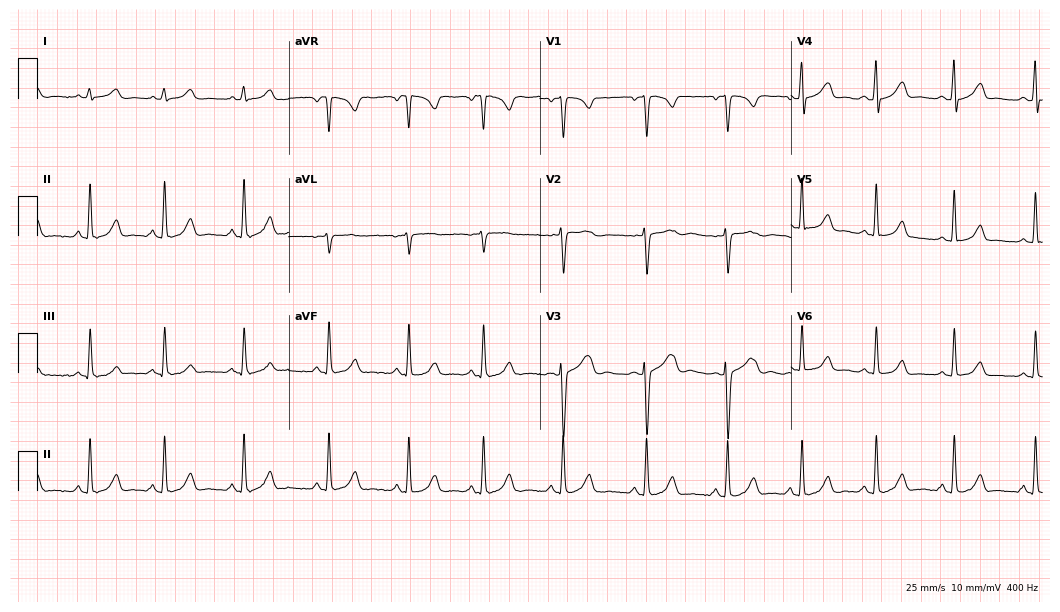
Standard 12-lead ECG recorded from a female, 25 years old (10.2-second recording at 400 Hz). None of these six findings is recorded: first-degree AV block, right bundle branch block, left bundle branch block, sinus bradycardia, atrial fibrillation, sinus tachycardia. Findings outside these six are not listed.